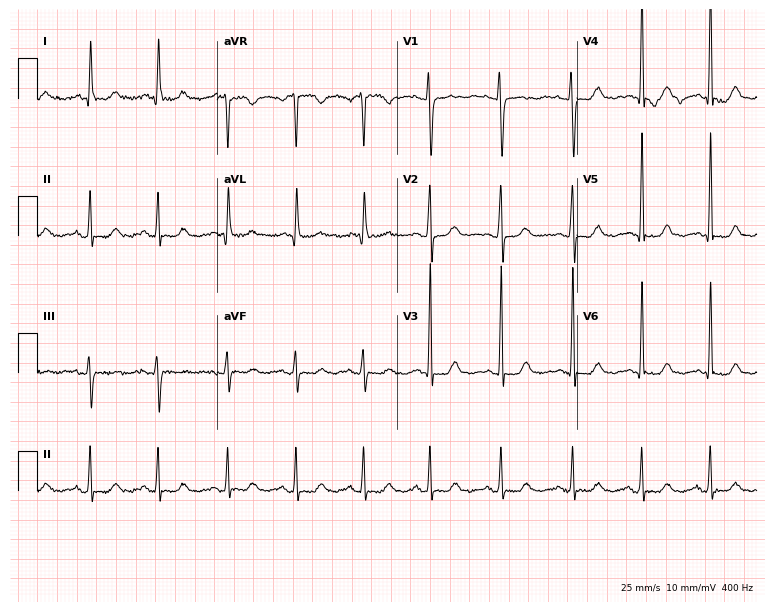
Resting 12-lead electrocardiogram (7.3-second recording at 400 Hz). Patient: a female, 49 years old. None of these six findings is recorded: first-degree AV block, right bundle branch block, left bundle branch block, sinus bradycardia, atrial fibrillation, sinus tachycardia. Other findings, if any, are not listed.